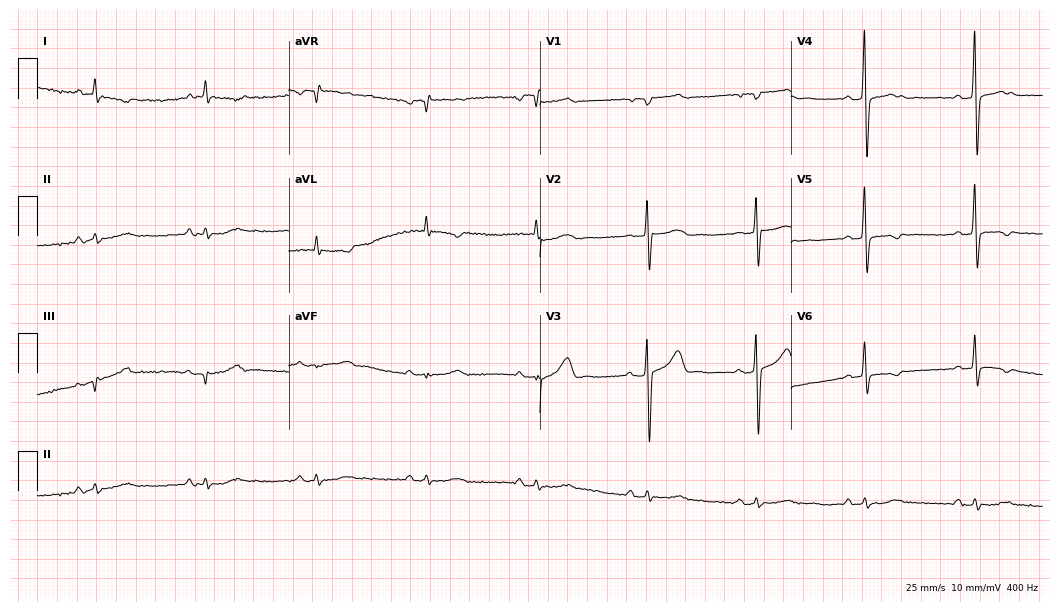
Electrocardiogram (10.2-second recording at 400 Hz), a 59-year-old man. Overall reading on record: normal ECG.